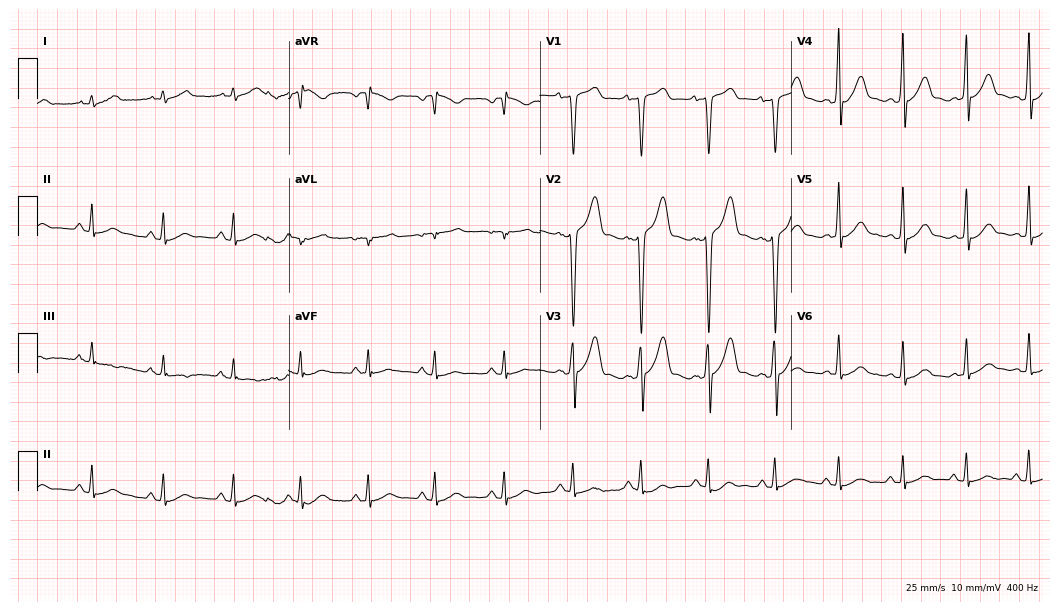
12-lead ECG from a 30-year-old male. Recorded interpretation: within normal limits.